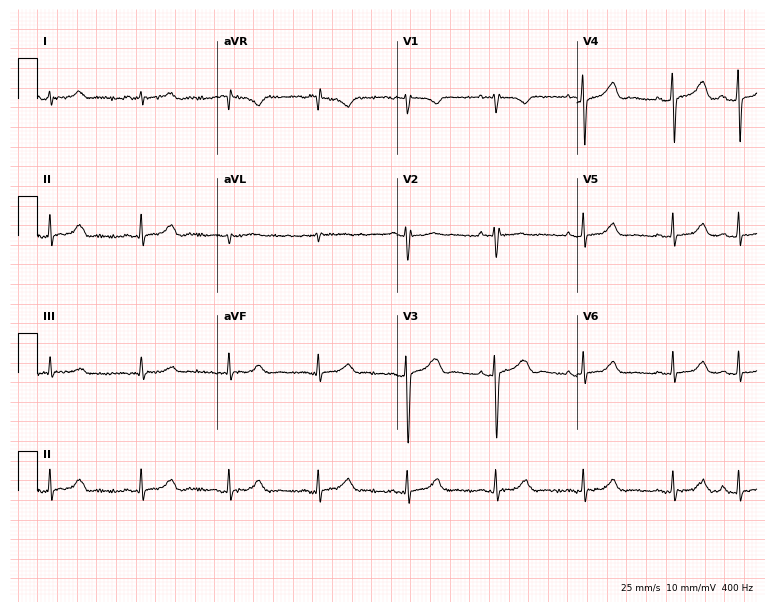
Electrocardiogram (7.3-second recording at 400 Hz), a female, 47 years old. Overall reading on record: normal ECG.